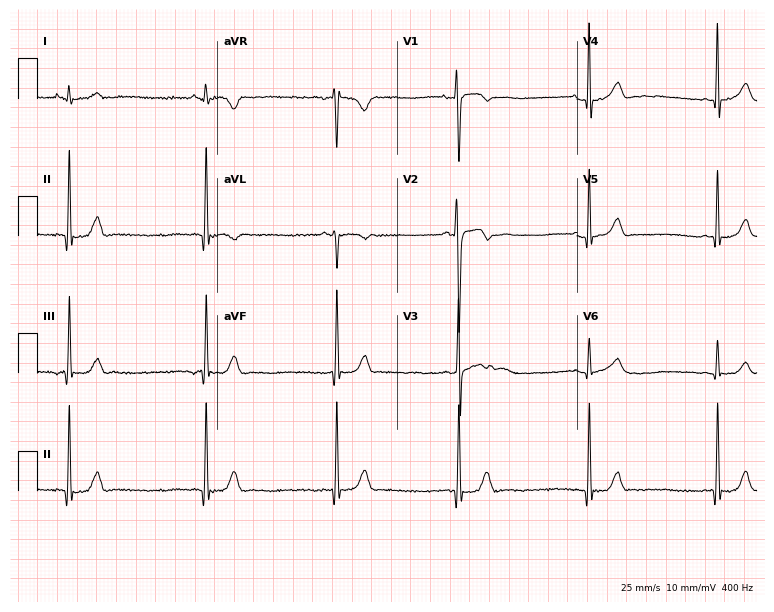
12-lead ECG (7.3-second recording at 400 Hz) from a man, 21 years old. Screened for six findings — first-degree AV block, right bundle branch block, left bundle branch block, sinus bradycardia, atrial fibrillation, sinus tachycardia — none is recorded. Only these six findings were labelled.